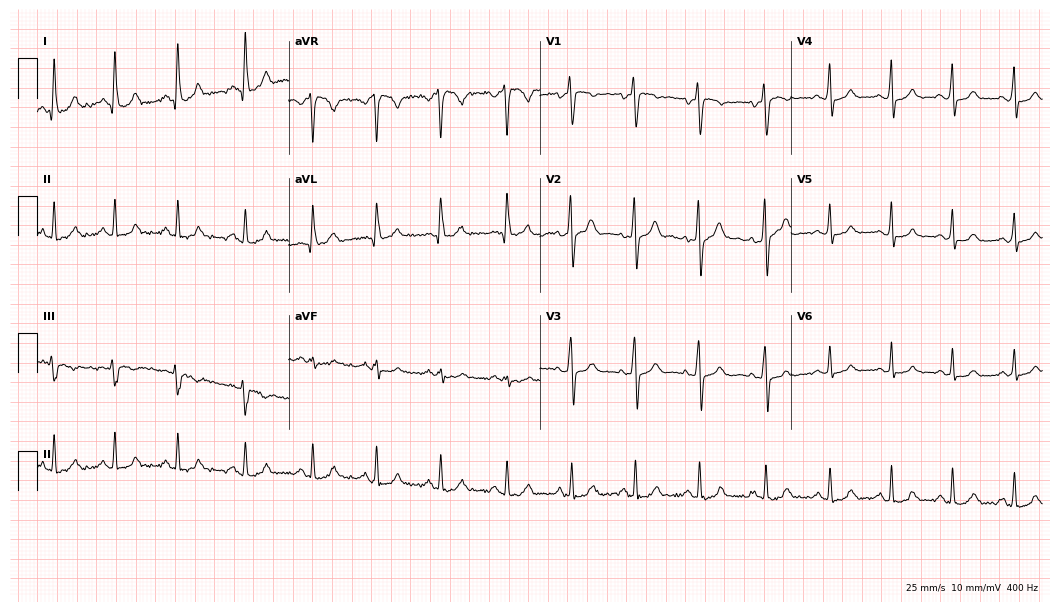
Electrocardiogram (10.2-second recording at 400 Hz), a female patient, 33 years old. Overall reading on record: normal ECG.